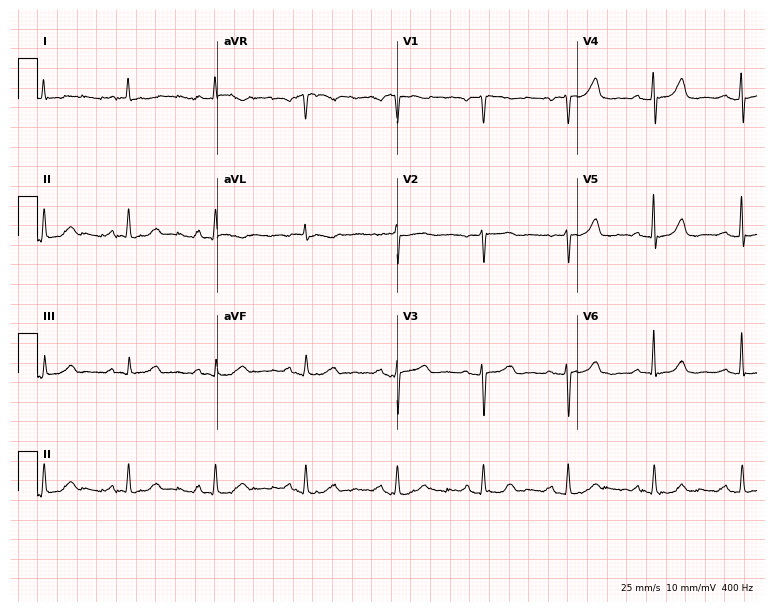
12-lead ECG from a 72-year-old female. Labelled as a normal ECG.